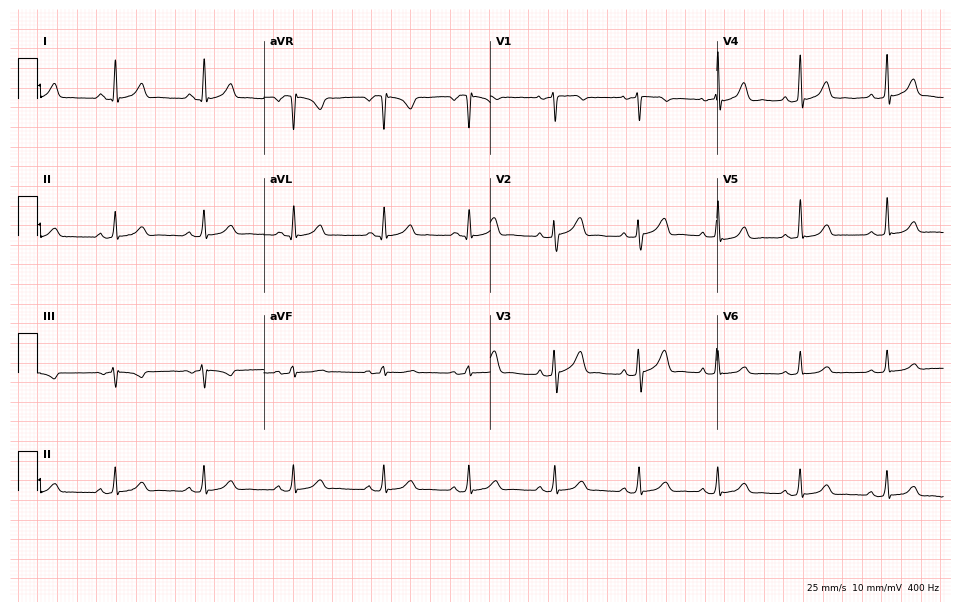
ECG — a 37-year-old woman. Labelled as a normal ECG.